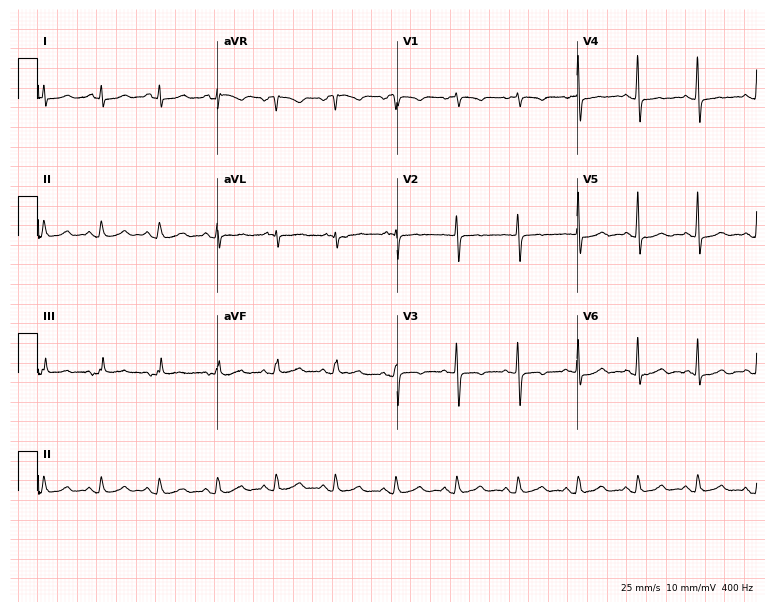
ECG — a woman, 56 years old. Screened for six findings — first-degree AV block, right bundle branch block (RBBB), left bundle branch block (LBBB), sinus bradycardia, atrial fibrillation (AF), sinus tachycardia — none is recorded. Other findings, if any, are not listed.